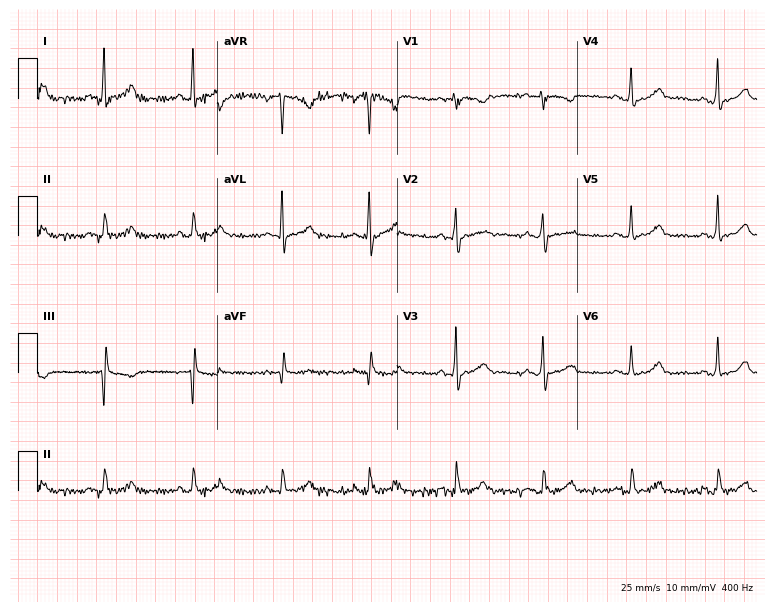
12-lead ECG (7.3-second recording at 400 Hz) from a female patient, 49 years old. Labelled as a normal ECG.